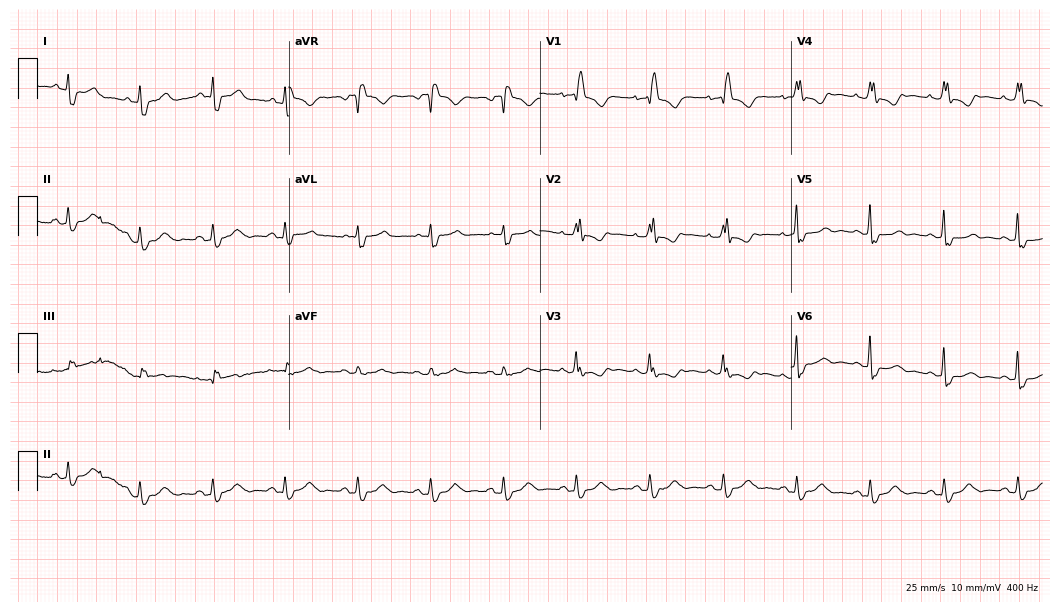
ECG (10.2-second recording at 400 Hz) — a female, 73 years old. Findings include right bundle branch block (RBBB).